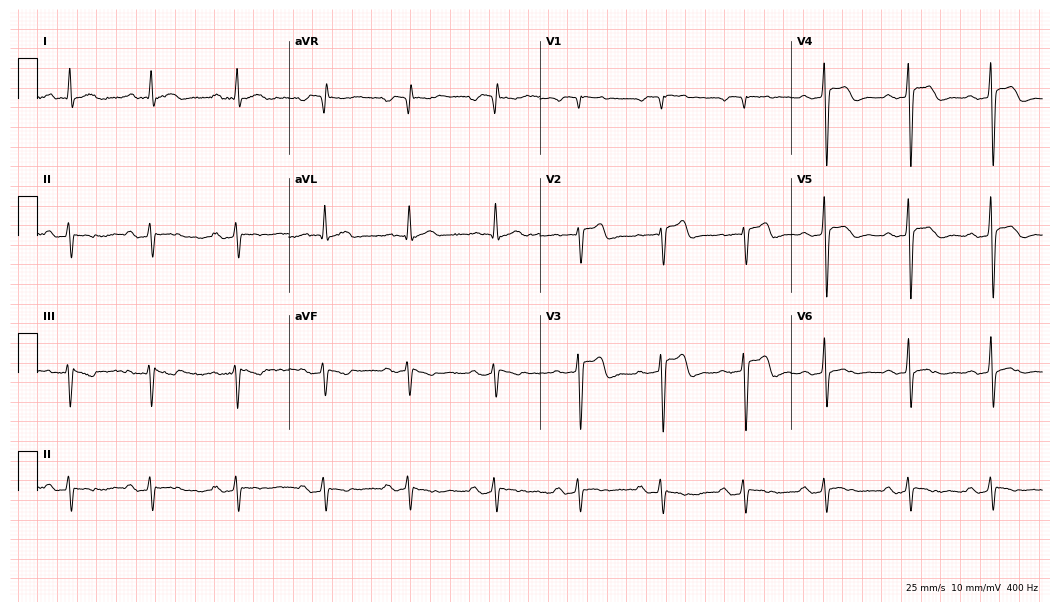
12-lead ECG from a male patient, 58 years old. Shows first-degree AV block.